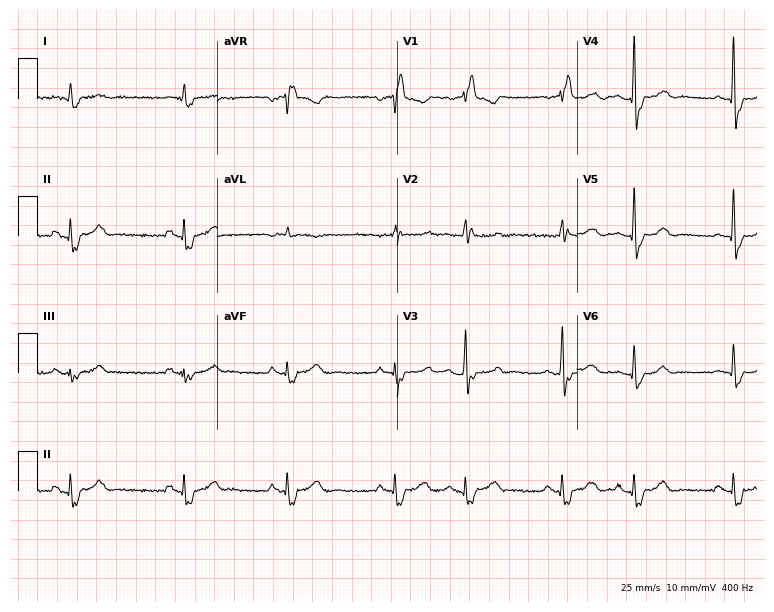
Standard 12-lead ECG recorded from a 77-year-old male patient. The tracing shows right bundle branch block.